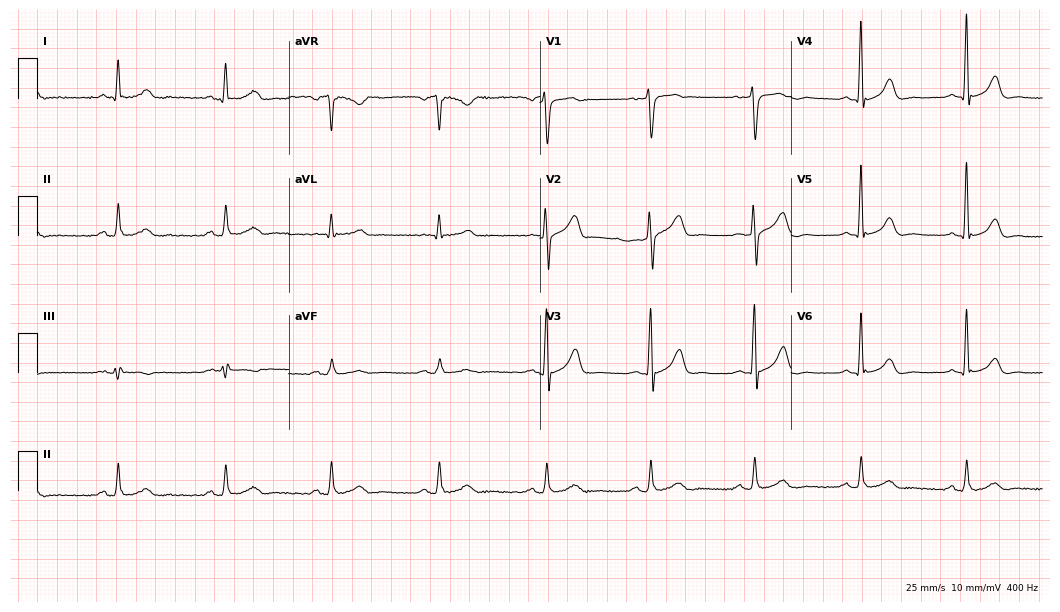
Standard 12-lead ECG recorded from a 62-year-old male patient (10.2-second recording at 400 Hz). Read as a normal ECG.